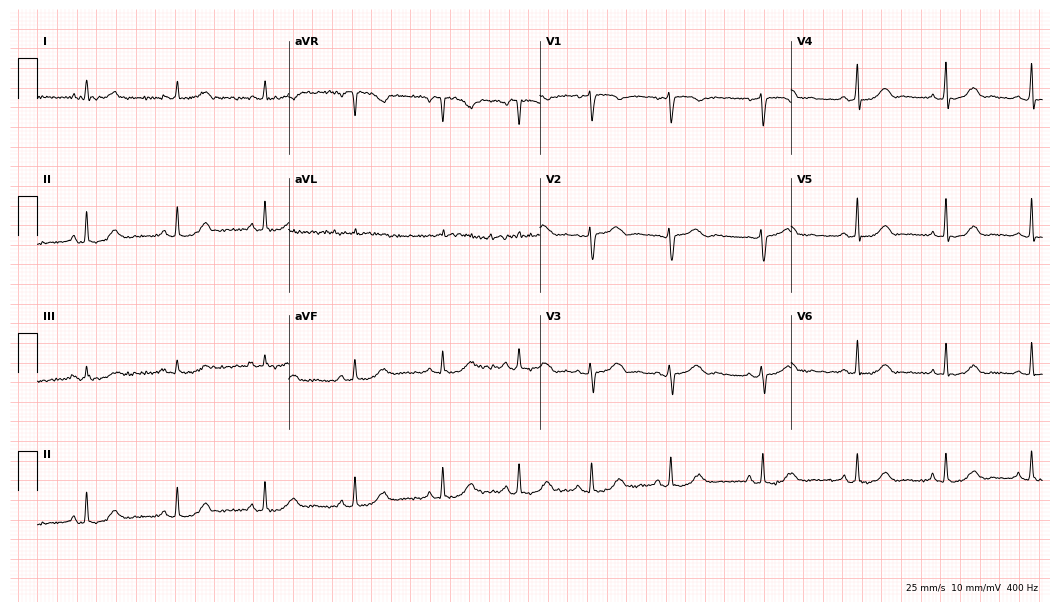
Standard 12-lead ECG recorded from a female patient, 51 years old (10.2-second recording at 400 Hz). Read as a normal ECG.